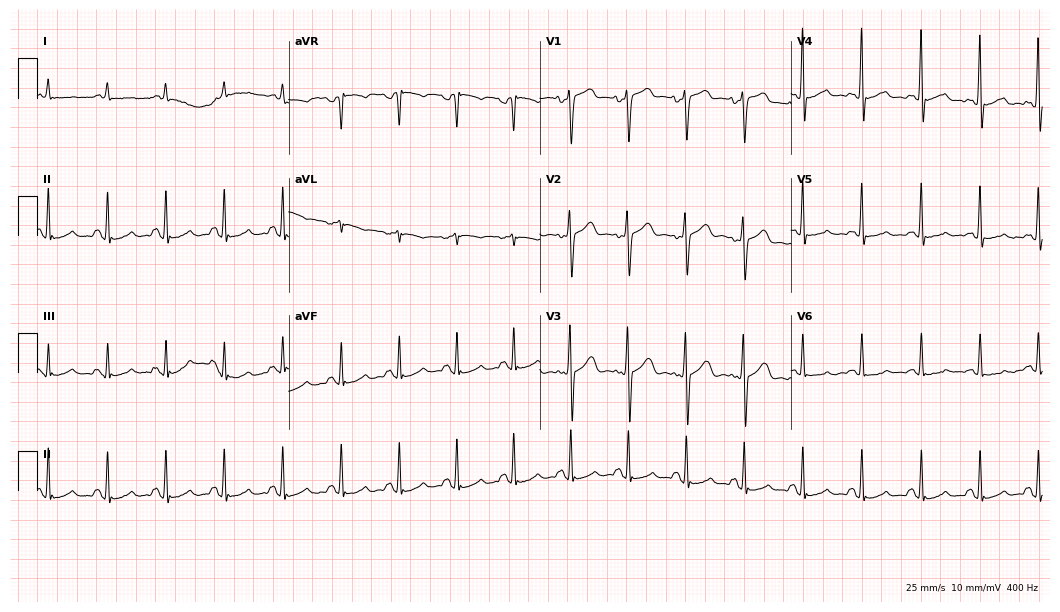
Standard 12-lead ECG recorded from a man, 44 years old (10.2-second recording at 400 Hz). None of these six findings is recorded: first-degree AV block, right bundle branch block (RBBB), left bundle branch block (LBBB), sinus bradycardia, atrial fibrillation (AF), sinus tachycardia.